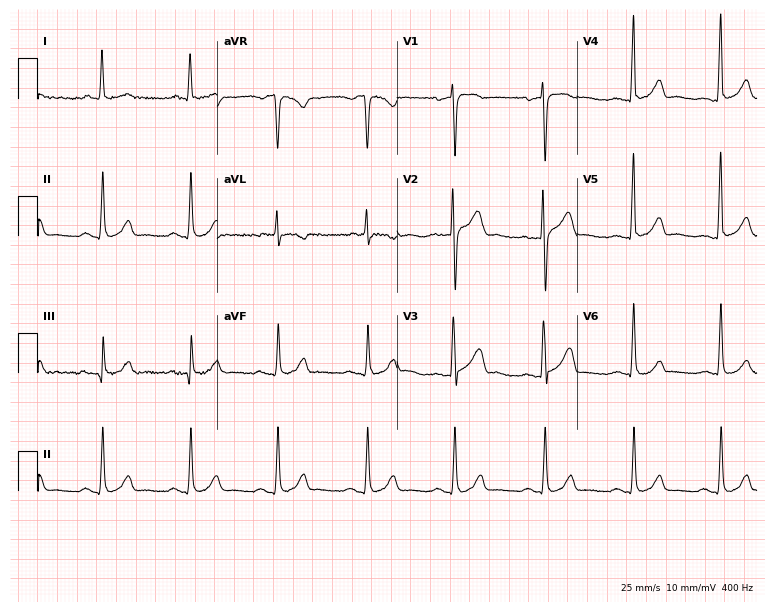
12-lead ECG from a male, 53 years old. Recorded interpretation: within normal limits.